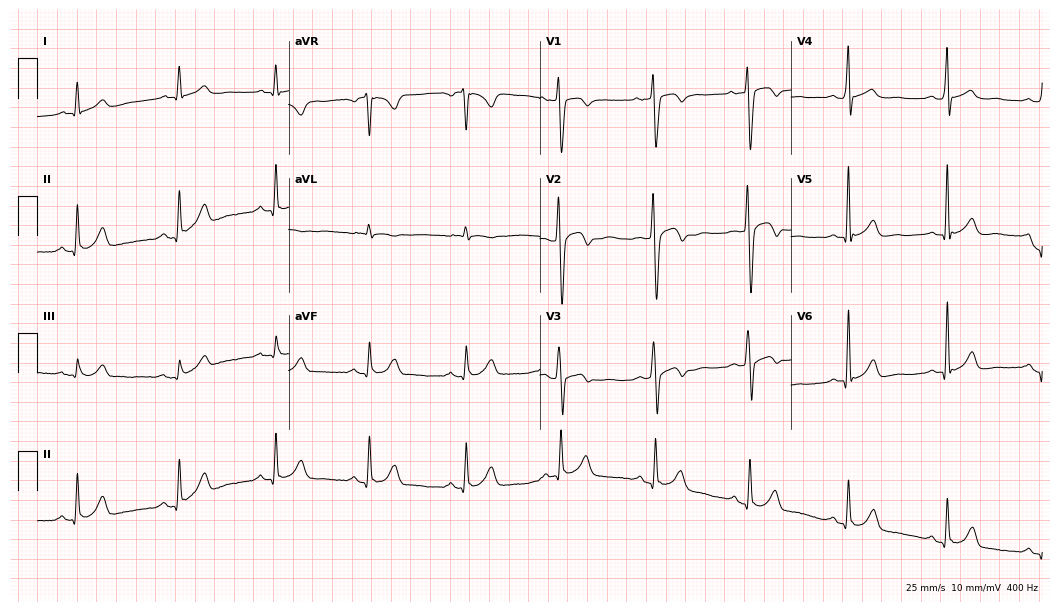
12-lead ECG from a male, 45 years old. No first-degree AV block, right bundle branch block (RBBB), left bundle branch block (LBBB), sinus bradycardia, atrial fibrillation (AF) or sinus tachycardia recorded for this tracing.